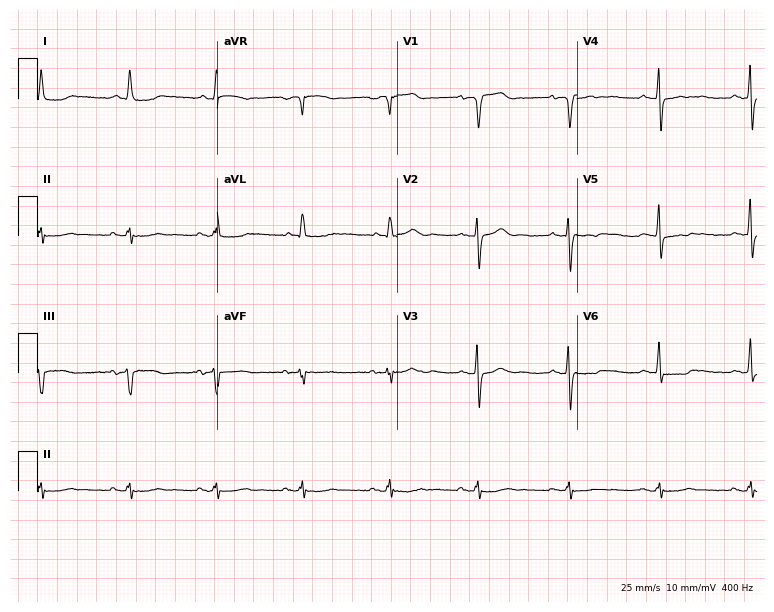
ECG — an 80-year-old male. Screened for six findings — first-degree AV block, right bundle branch block (RBBB), left bundle branch block (LBBB), sinus bradycardia, atrial fibrillation (AF), sinus tachycardia — none is recorded. Only these six findings were labelled.